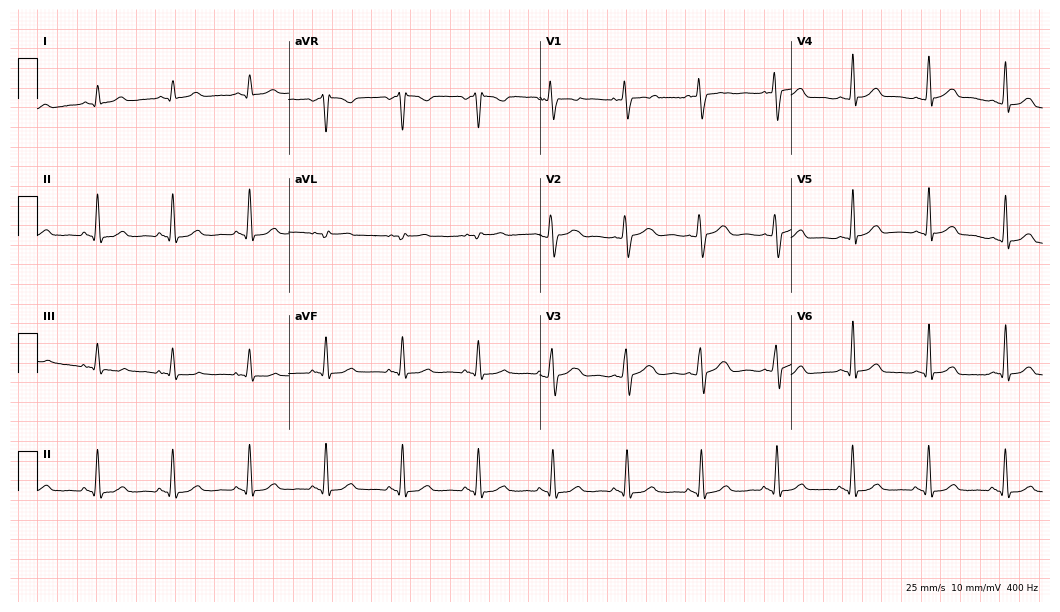
12-lead ECG from a male patient, 62 years old (10.2-second recording at 400 Hz). Recorded interpretation: within normal limits.